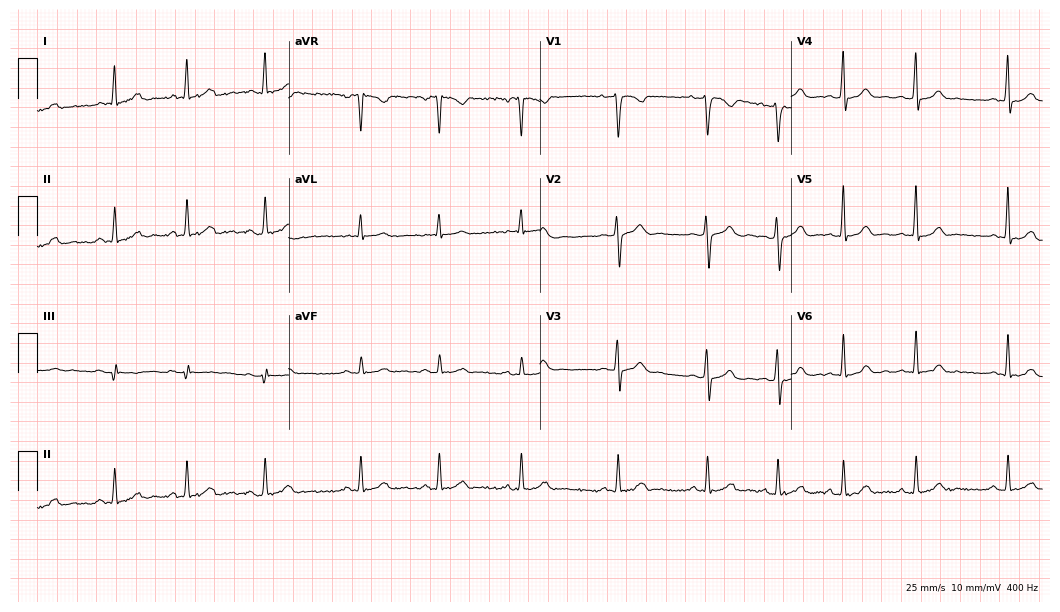
12-lead ECG from a 20-year-old woman. Recorded interpretation: within normal limits.